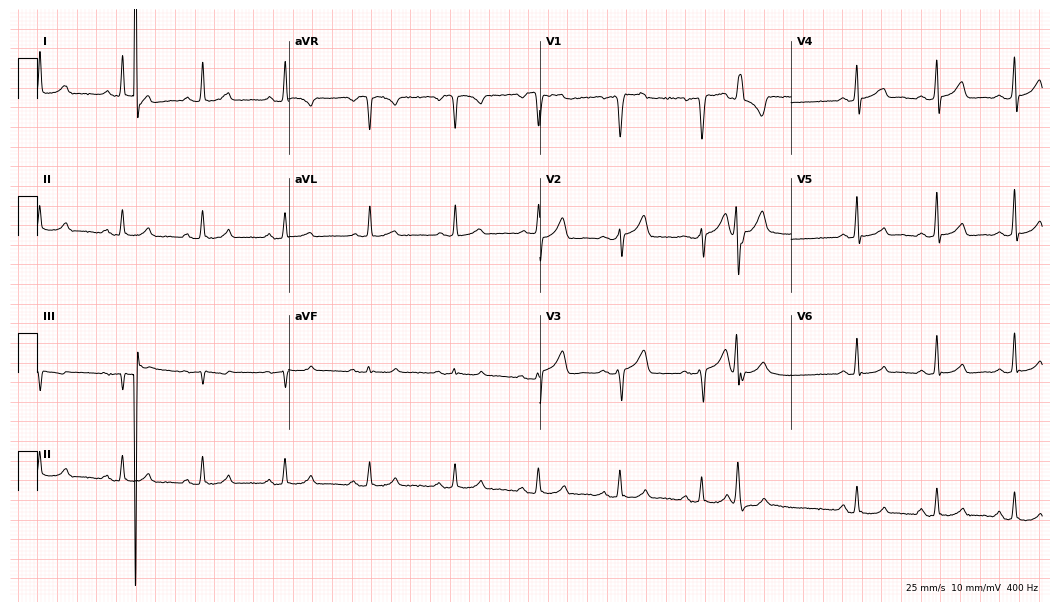
ECG — a 54-year-old female. Screened for six findings — first-degree AV block, right bundle branch block (RBBB), left bundle branch block (LBBB), sinus bradycardia, atrial fibrillation (AF), sinus tachycardia — none is recorded. Findings outside these six are not listed.